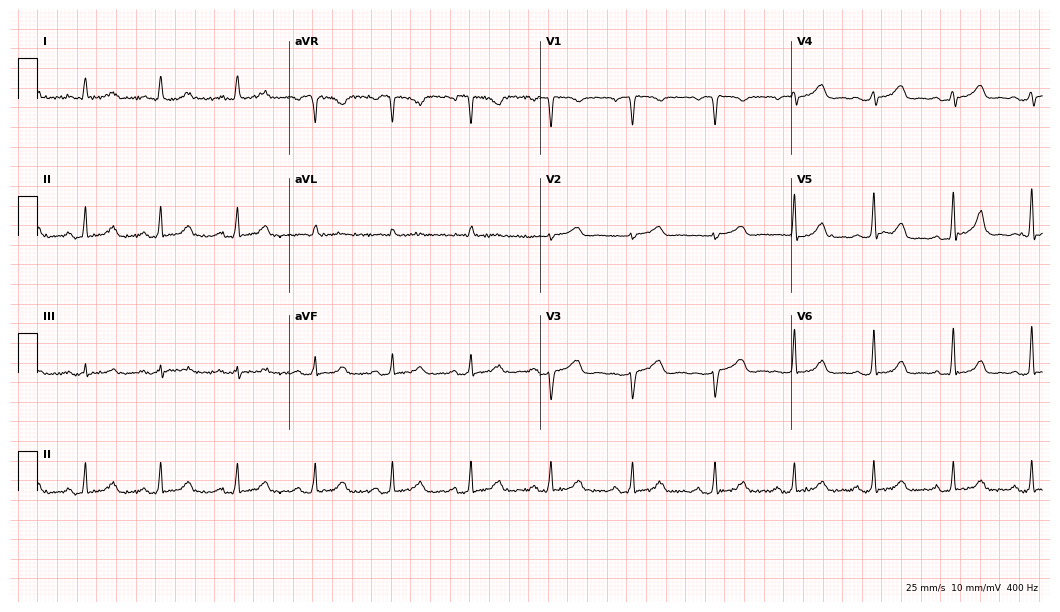
12-lead ECG from a female, 60 years old (10.2-second recording at 400 Hz). No first-degree AV block, right bundle branch block, left bundle branch block, sinus bradycardia, atrial fibrillation or sinus tachycardia recorded for this tracing.